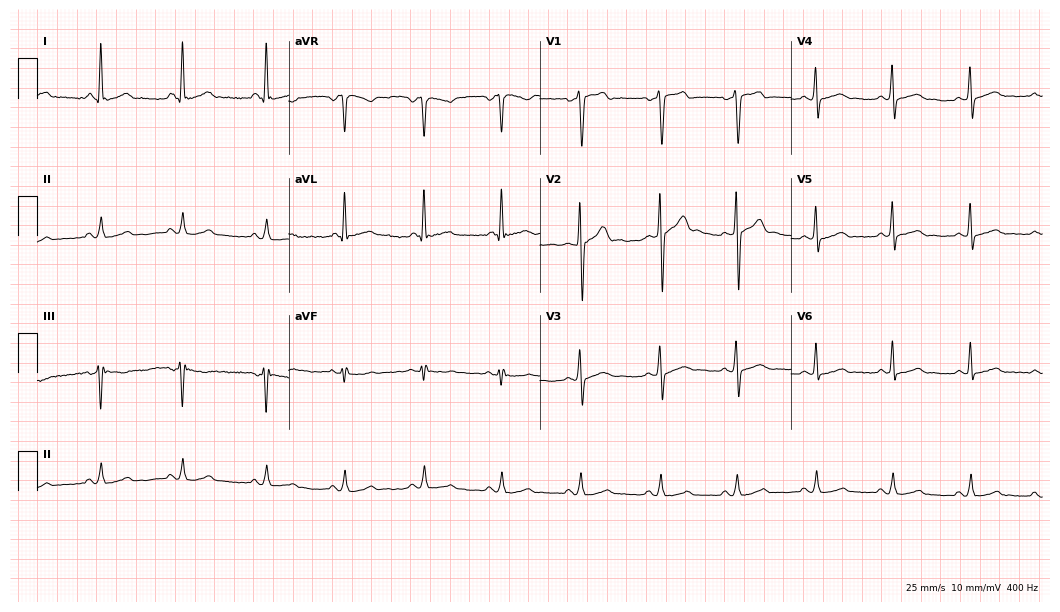
12-lead ECG from a 25-year-old man (10.2-second recording at 400 Hz). Recorded interpretation: within normal limits.